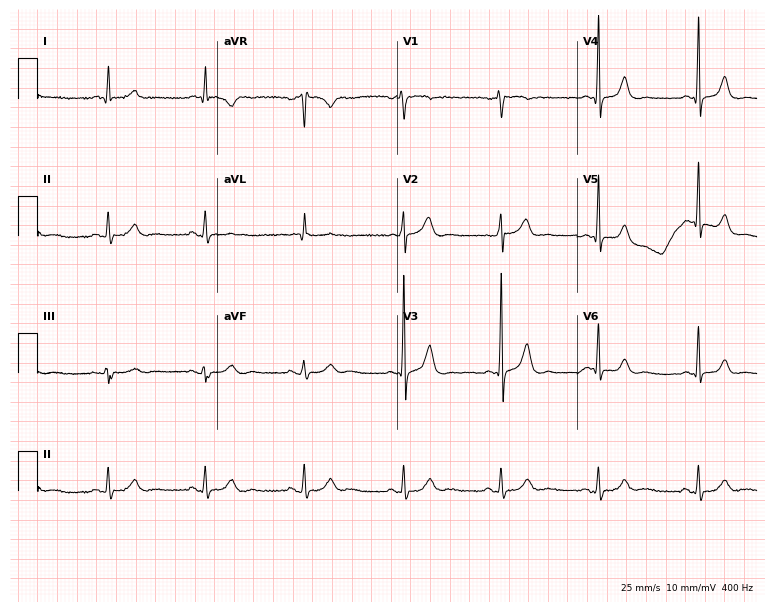
12-lead ECG from a 43-year-old male (7.3-second recording at 400 Hz). Recorded interpretation: within normal limits.